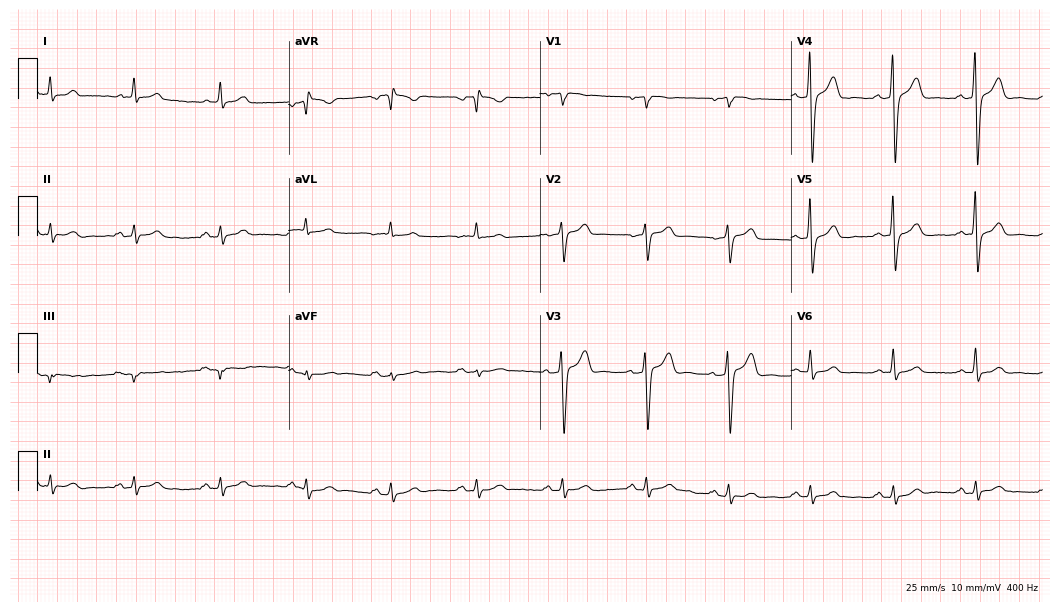
12-lead ECG from a male, 57 years old (10.2-second recording at 400 Hz). Recorded interpretation: within normal limits.